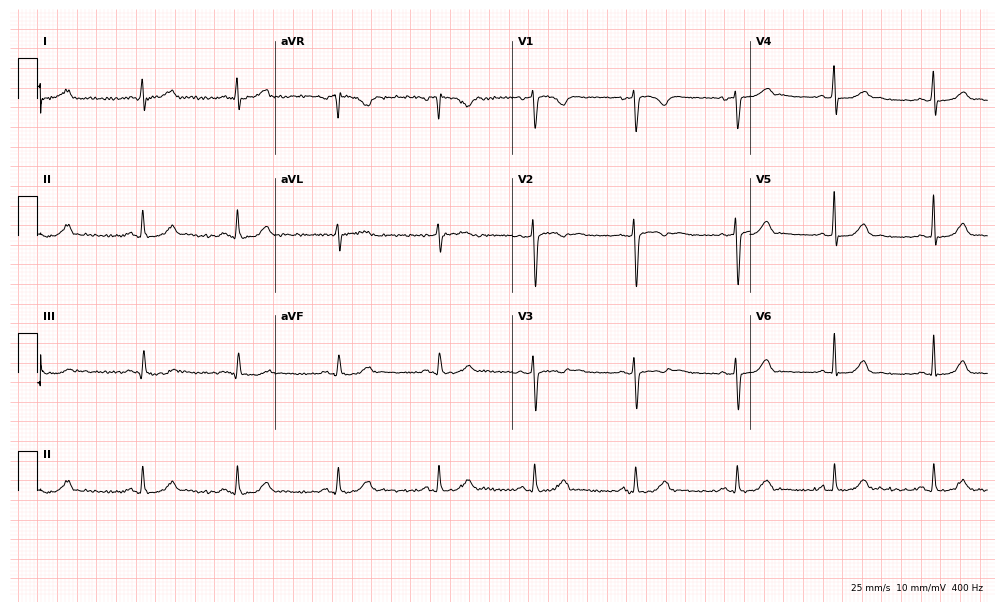
Standard 12-lead ECG recorded from a 40-year-old woman. Read as a normal ECG.